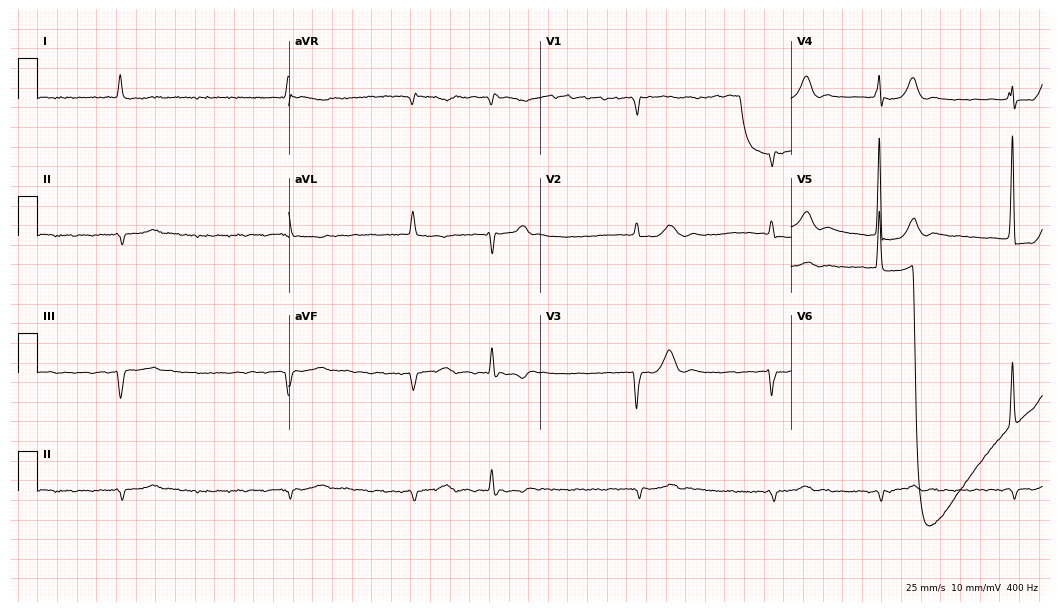
Standard 12-lead ECG recorded from an 84-year-old male (10.2-second recording at 400 Hz). The tracing shows atrial fibrillation.